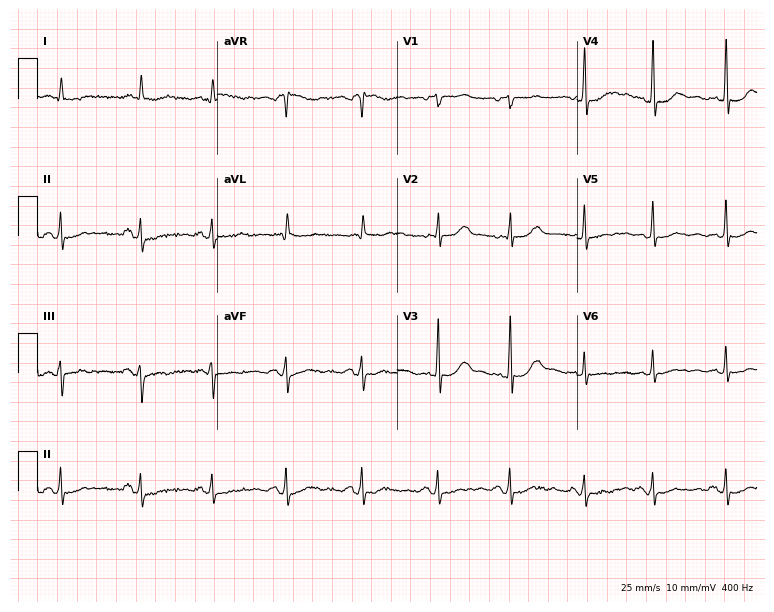
12-lead ECG (7.3-second recording at 400 Hz) from a 65-year-old woman. Screened for six findings — first-degree AV block, right bundle branch block (RBBB), left bundle branch block (LBBB), sinus bradycardia, atrial fibrillation (AF), sinus tachycardia — none is recorded. Other findings, if any, are not listed.